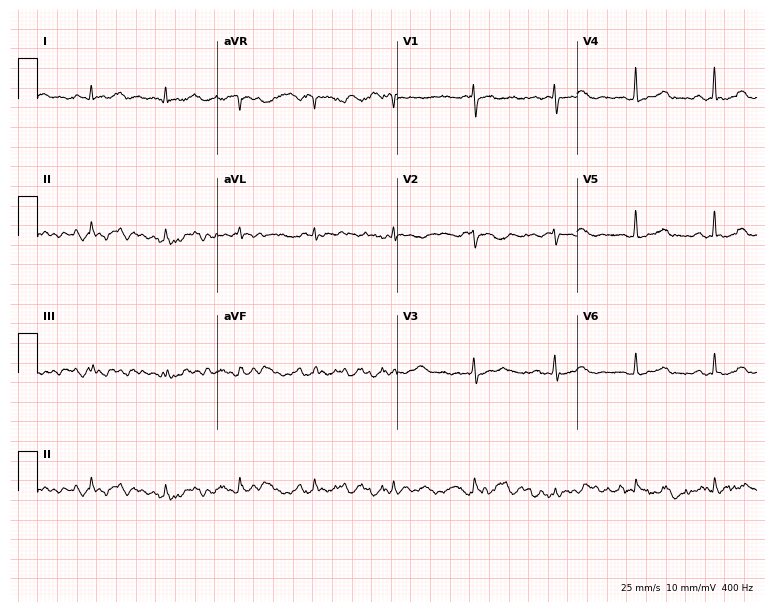
ECG (7.3-second recording at 400 Hz) — a female, 68 years old. Screened for six findings — first-degree AV block, right bundle branch block, left bundle branch block, sinus bradycardia, atrial fibrillation, sinus tachycardia — none is recorded.